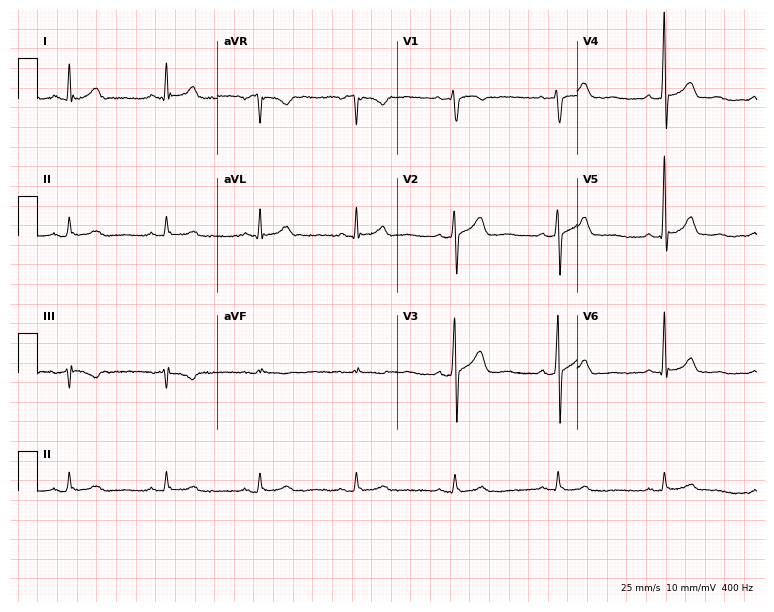
12-lead ECG from a 70-year-old male. Recorded interpretation: within normal limits.